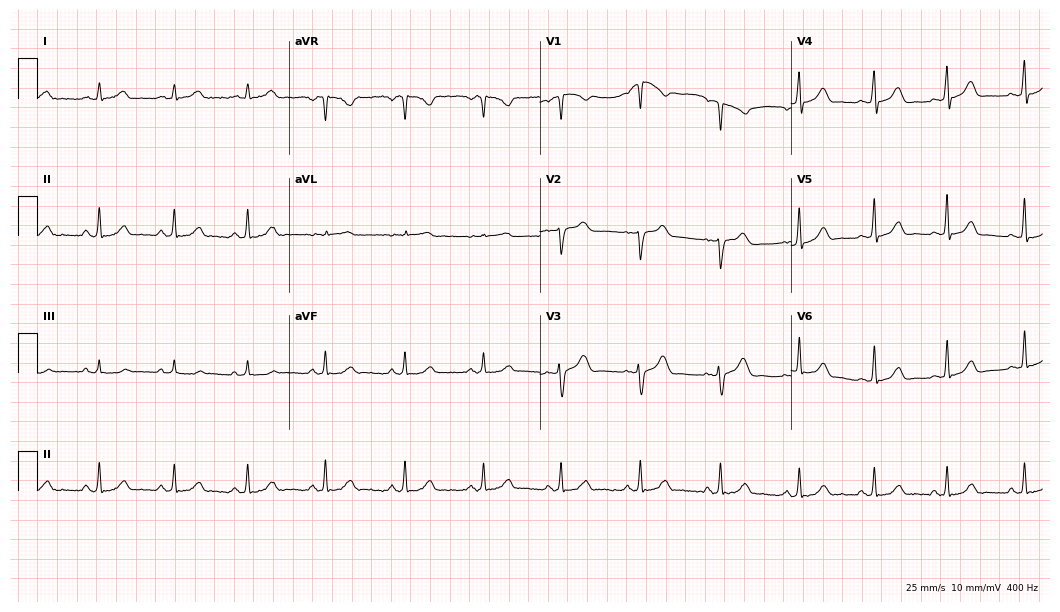
ECG — a female patient, 39 years old. Labelled as a normal ECG.